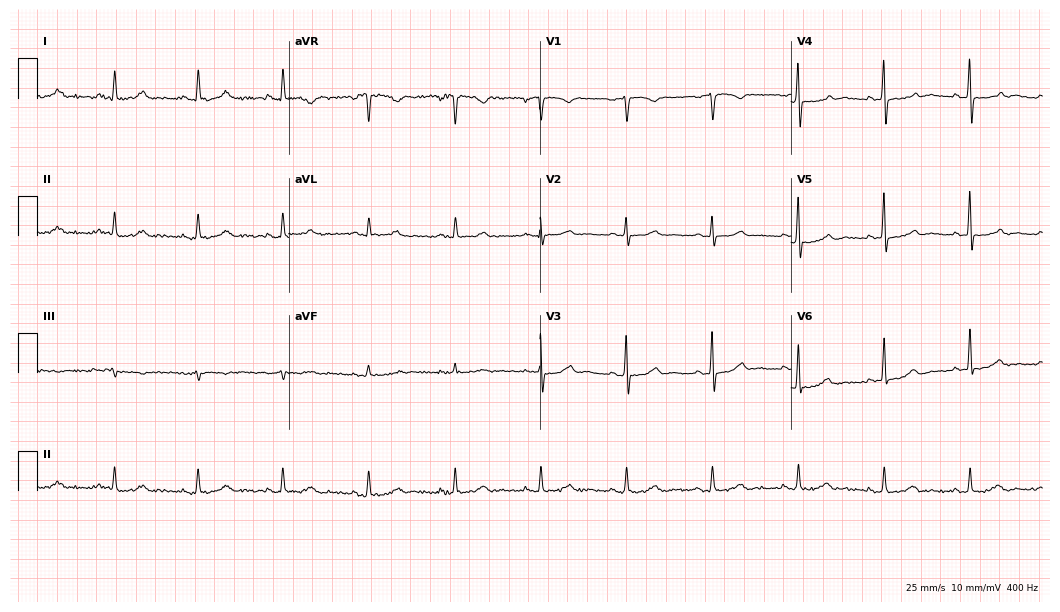
Resting 12-lead electrocardiogram (10.2-second recording at 400 Hz). Patient: an 81-year-old male. Read as a normal ECG.